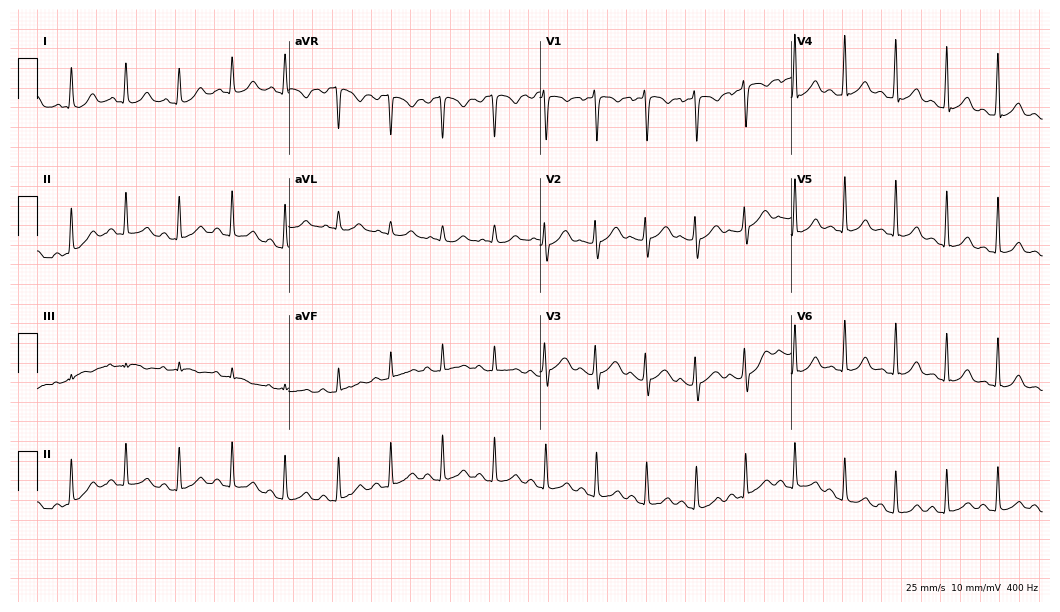
12-lead ECG from a female, 21 years old (10.2-second recording at 400 Hz). Shows sinus tachycardia (a sinus rate of 100 beats per minute or more).